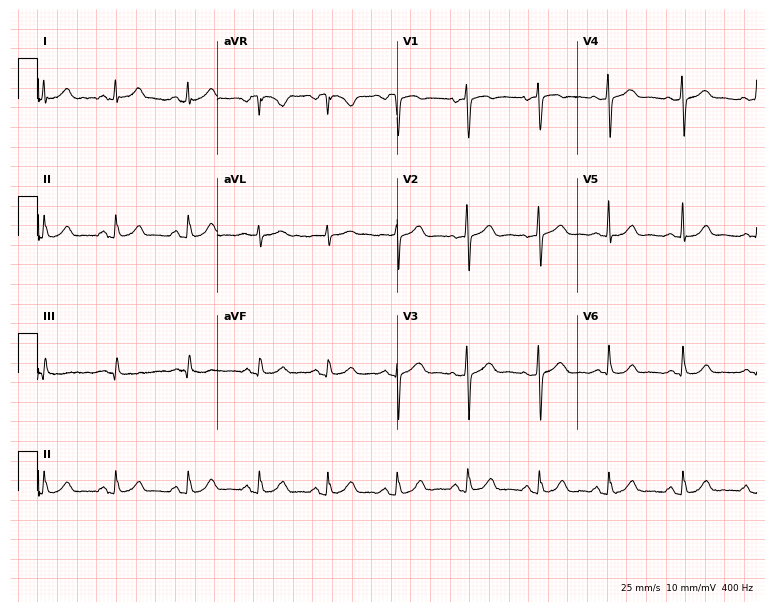
Electrocardiogram, a woman, 44 years old. Overall reading on record: normal ECG.